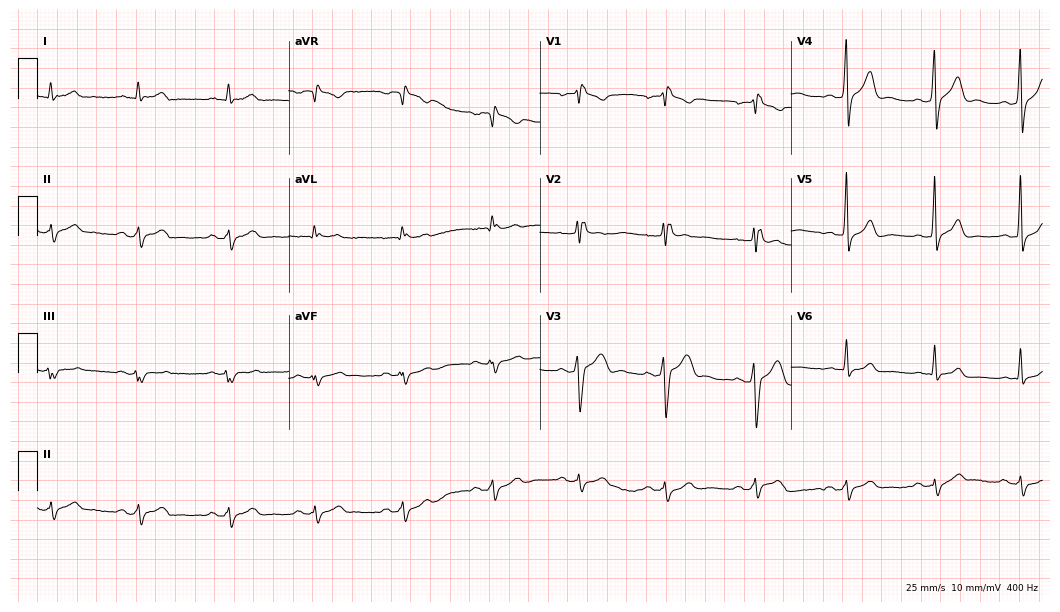
Resting 12-lead electrocardiogram (10.2-second recording at 400 Hz). Patient: a male, 41 years old. The tracing shows right bundle branch block.